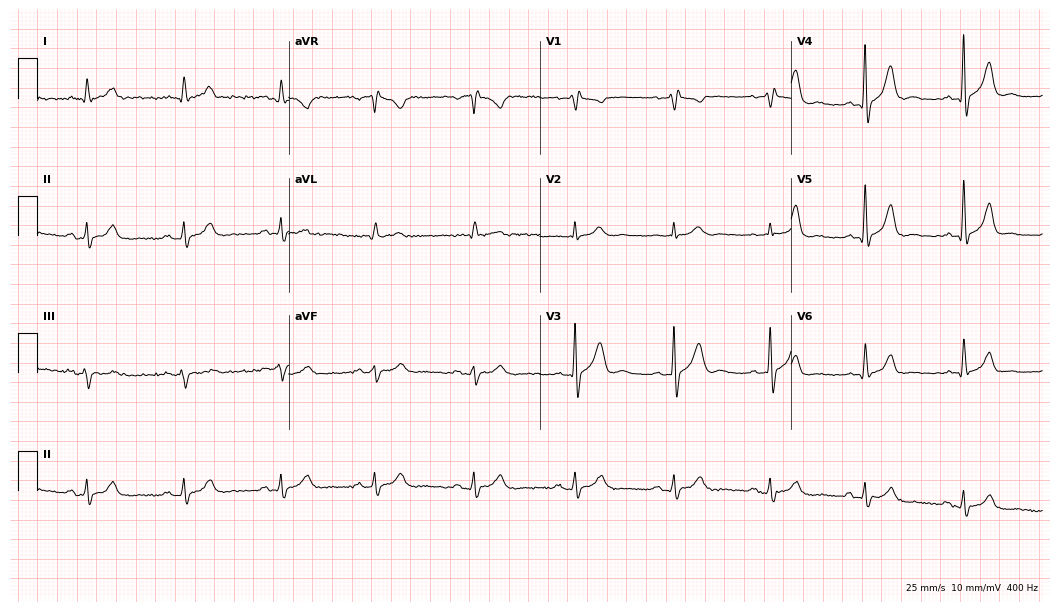
12-lead ECG from a male patient, 43 years old (10.2-second recording at 400 Hz). No first-degree AV block, right bundle branch block (RBBB), left bundle branch block (LBBB), sinus bradycardia, atrial fibrillation (AF) or sinus tachycardia recorded for this tracing.